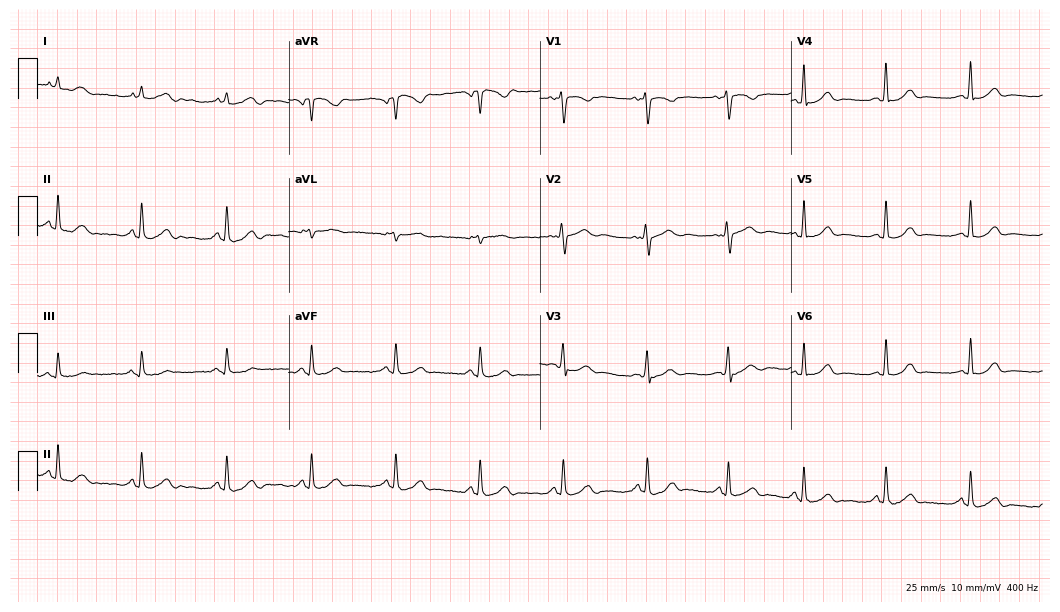
ECG — a woman, 35 years old. Screened for six findings — first-degree AV block, right bundle branch block, left bundle branch block, sinus bradycardia, atrial fibrillation, sinus tachycardia — none is recorded. Only these six findings were labelled.